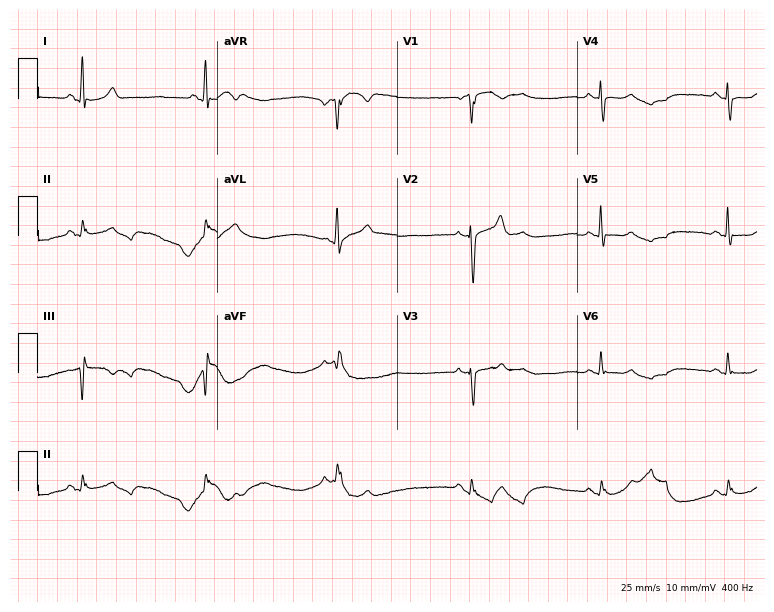
ECG — a 46-year-old male. Screened for six findings — first-degree AV block, right bundle branch block (RBBB), left bundle branch block (LBBB), sinus bradycardia, atrial fibrillation (AF), sinus tachycardia — none is recorded. Only these six findings were labelled.